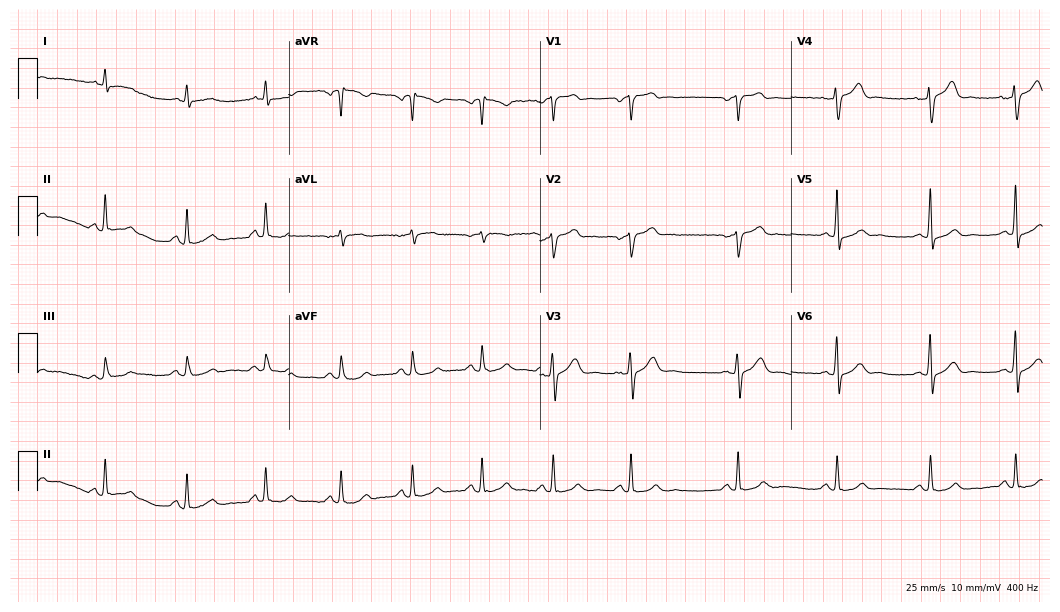
Electrocardiogram, a 54-year-old man. Overall reading on record: normal ECG.